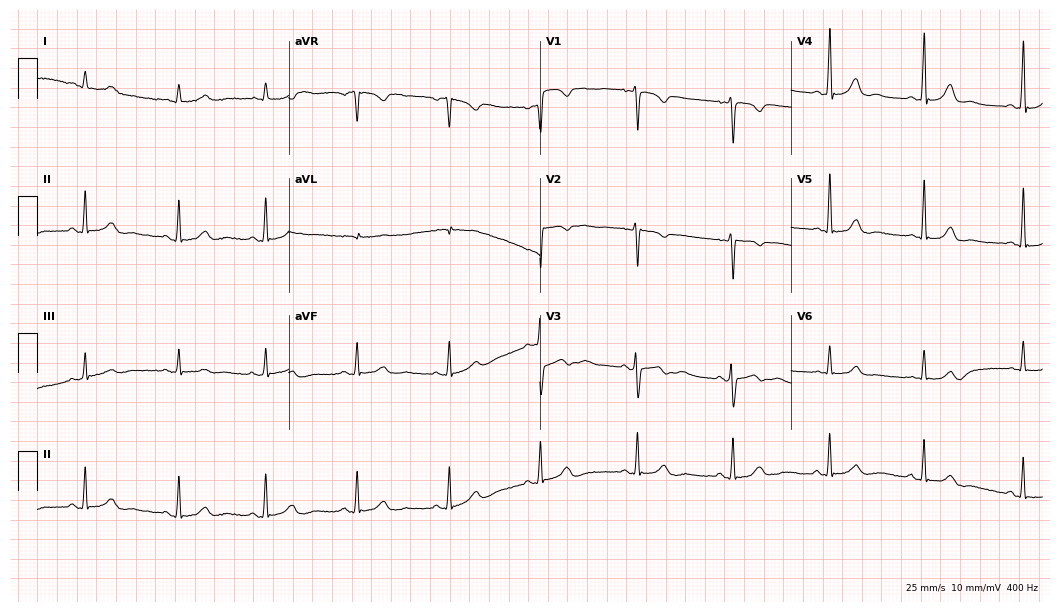
ECG (10.2-second recording at 400 Hz) — a female, 41 years old. Screened for six findings — first-degree AV block, right bundle branch block, left bundle branch block, sinus bradycardia, atrial fibrillation, sinus tachycardia — none is recorded. Other findings, if any, are not listed.